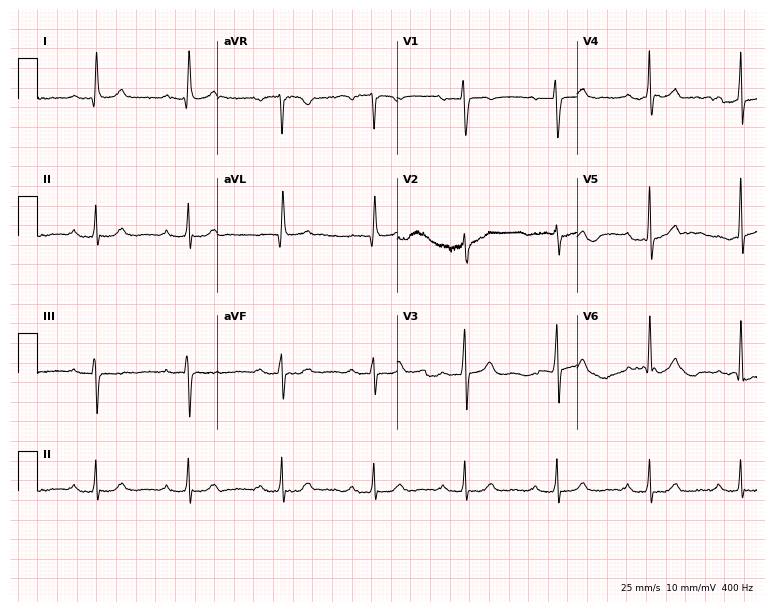
Electrocardiogram (7.3-second recording at 400 Hz), a male patient, 80 years old. Interpretation includes first-degree AV block.